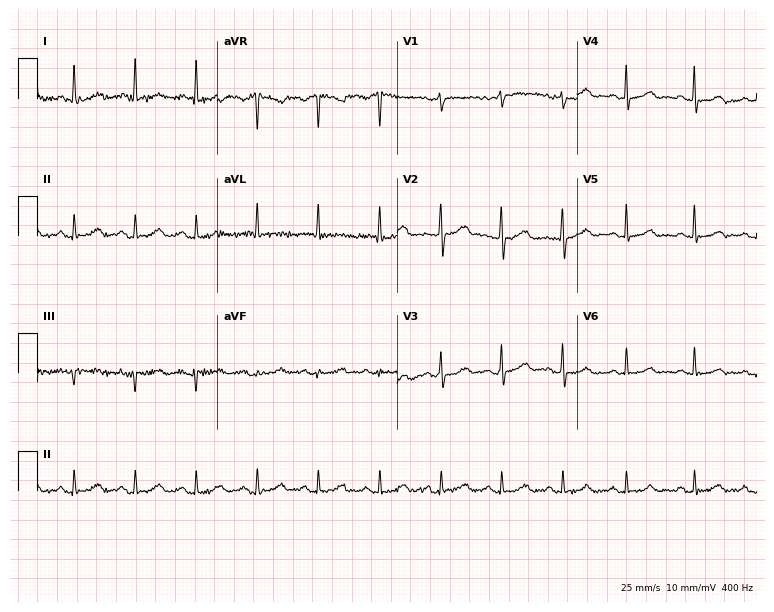
ECG (7.3-second recording at 400 Hz) — a 75-year-old female. Labelled as a normal ECG.